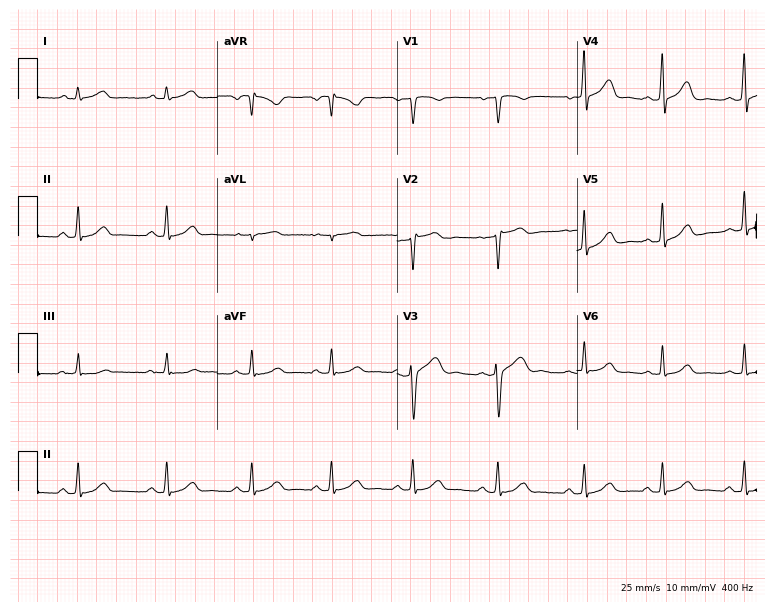
Standard 12-lead ECG recorded from a 35-year-old female (7.3-second recording at 400 Hz). None of these six findings is recorded: first-degree AV block, right bundle branch block (RBBB), left bundle branch block (LBBB), sinus bradycardia, atrial fibrillation (AF), sinus tachycardia.